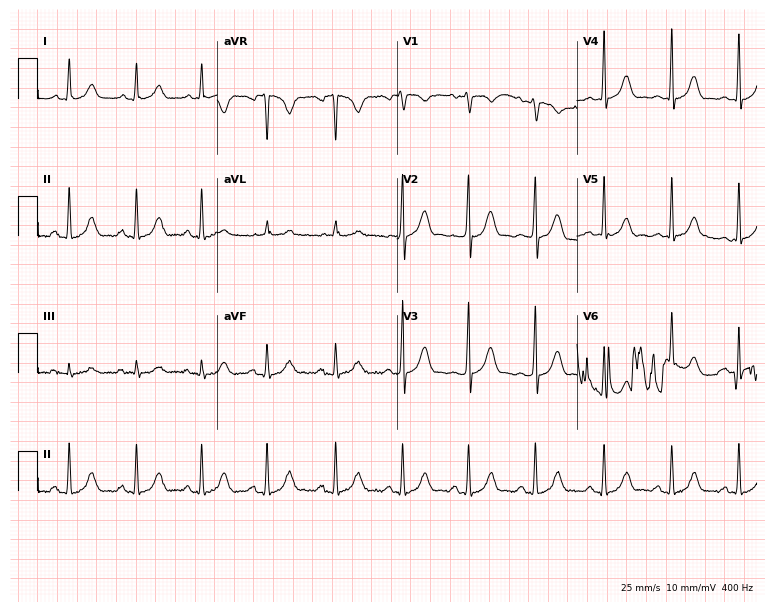
Standard 12-lead ECG recorded from a 23-year-old female patient (7.3-second recording at 400 Hz). None of these six findings is recorded: first-degree AV block, right bundle branch block, left bundle branch block, sinus bradycardia, atrial fibrillation, sinus tachycardia. Findings outside these six are not listed.